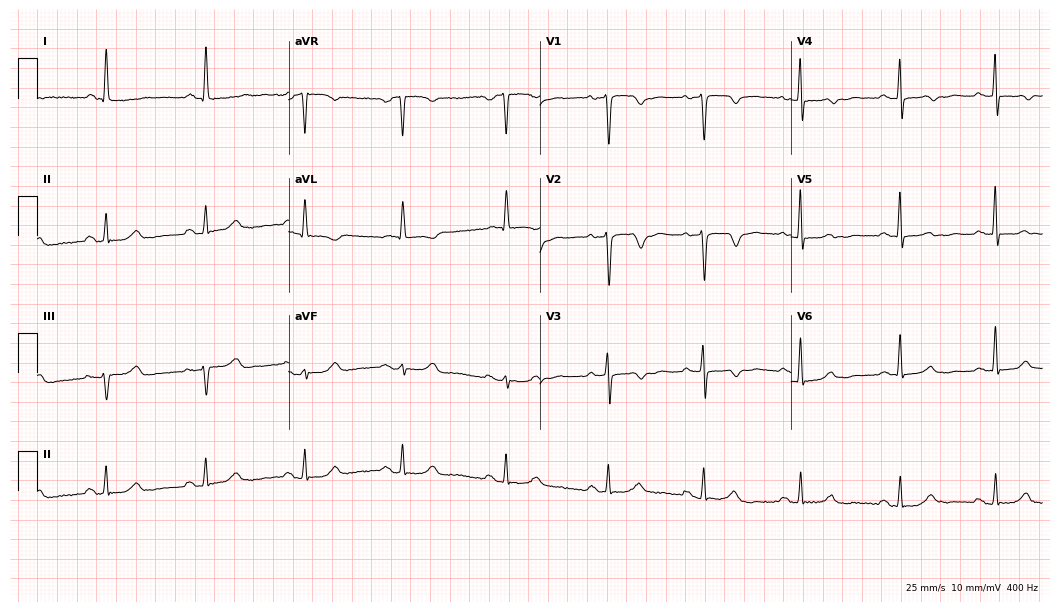
12-lead ECG from a female patient, 64 years old (10.2-second recording at 400 Hz). Recorded interpretation: within normal limits.